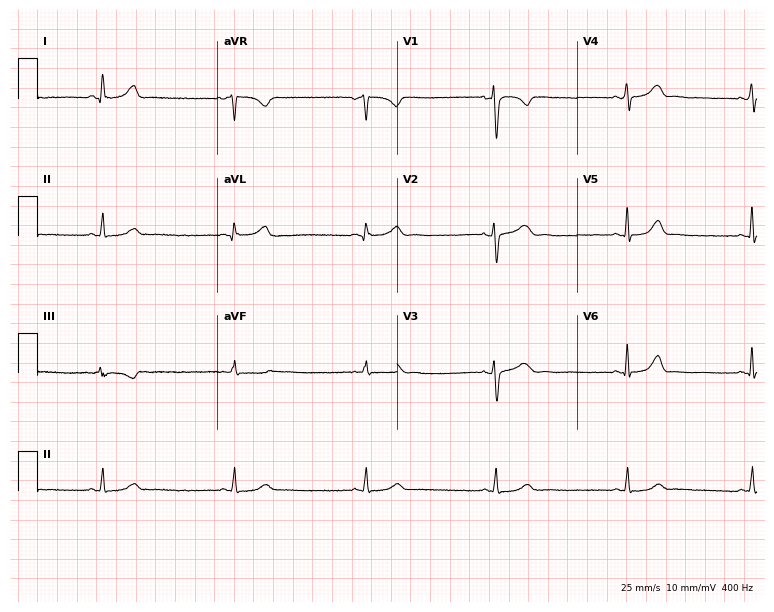
ECG (7.3-second recording at 400 Hz) — a 31-year-old female patient. Labelled as a normal ECG.